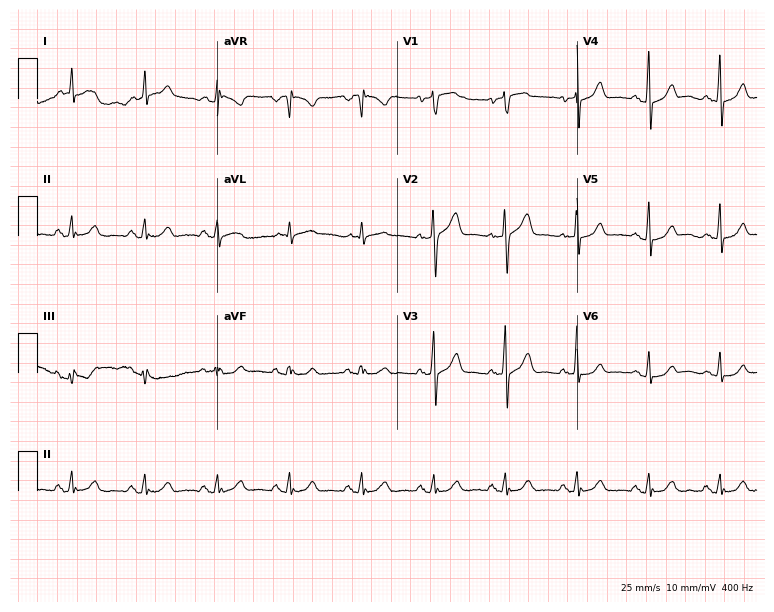
12-lead ECG (7.3-second recording at 400 Hz) from a man, 55 years old. Labelled as a normal ECG.